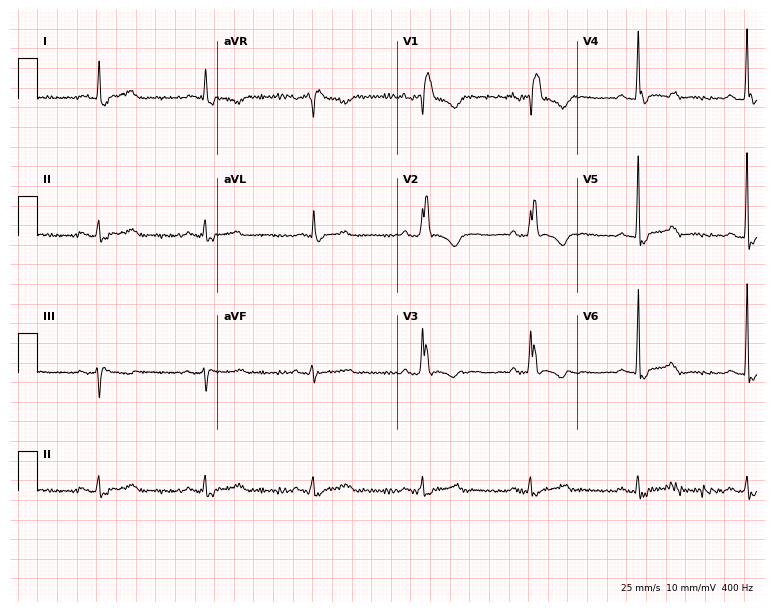
ECG — a 79-year-old male. Findings include right bundle branch block (RBBB).